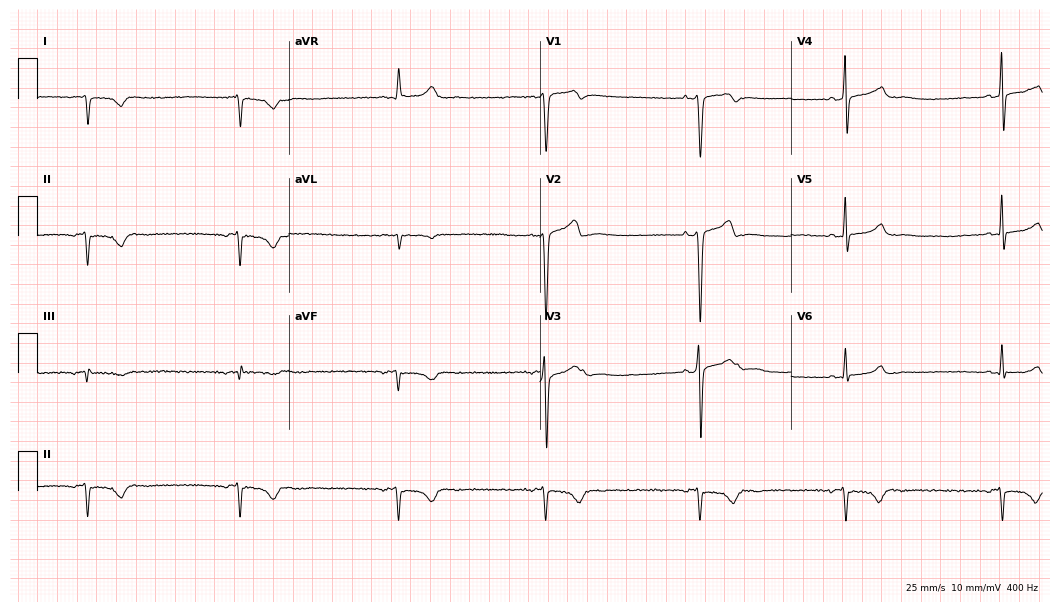
12-lead ECG from a female patient, 60 years old. No first-degree AV block, right bundle branch block, left bundle branch block, sinus bradycardia, atrial fibrillation or sinus tachycardia recorded for this tracing. Other findings, if any, are not listed.